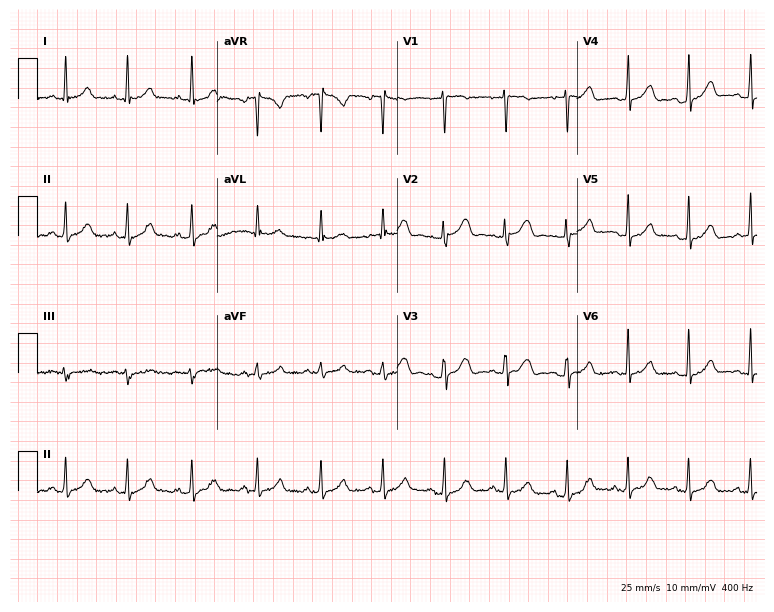
Standard 12-lead ECG recorded from a woman, 22 years old. None of these six findings is recorded: first-degree AV block, right bundle branch block (RBBB), left bundle branch block (LBBB), sinus bradycardia, atrial fibrillation (AF), sinus tachycardia.